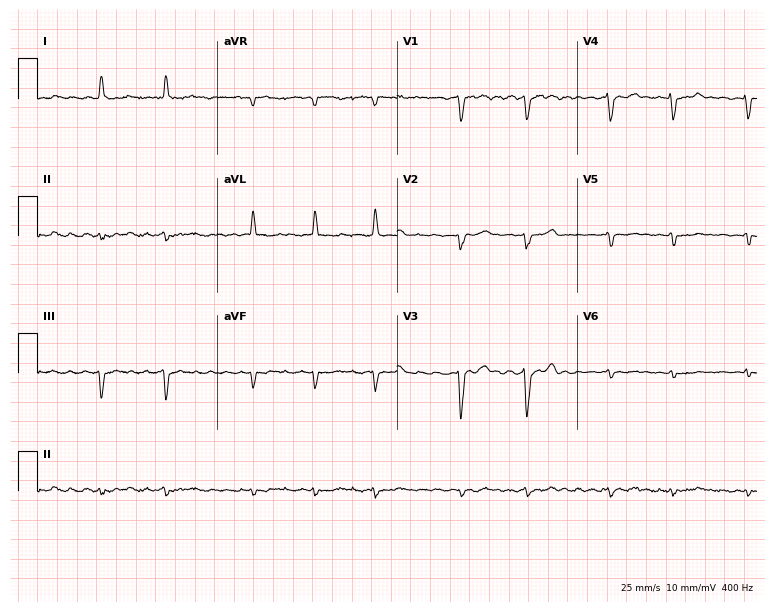
12-lead ECG from a 74-year-old female. Shows atrial fibrillation.